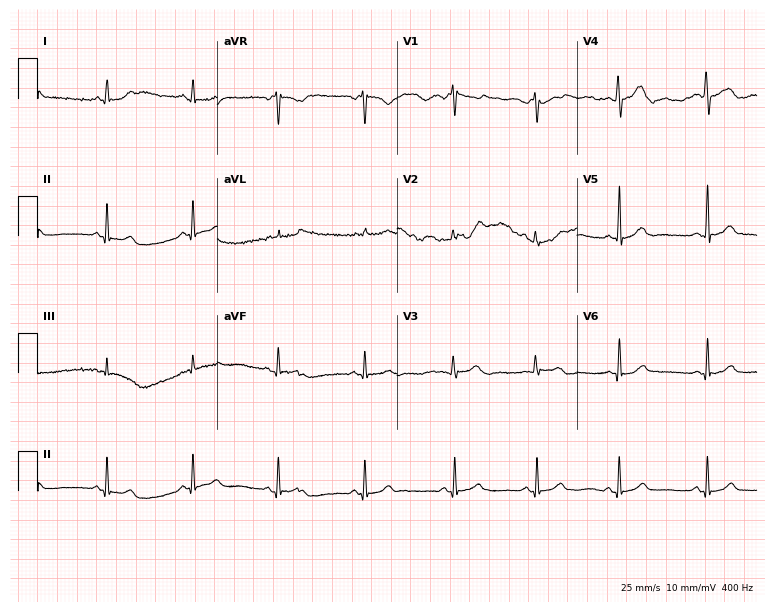
Electrocardiogram (7.3-second recording at 400 Hz), a woman, 23 years old. Overall reading on record: normal ECG.